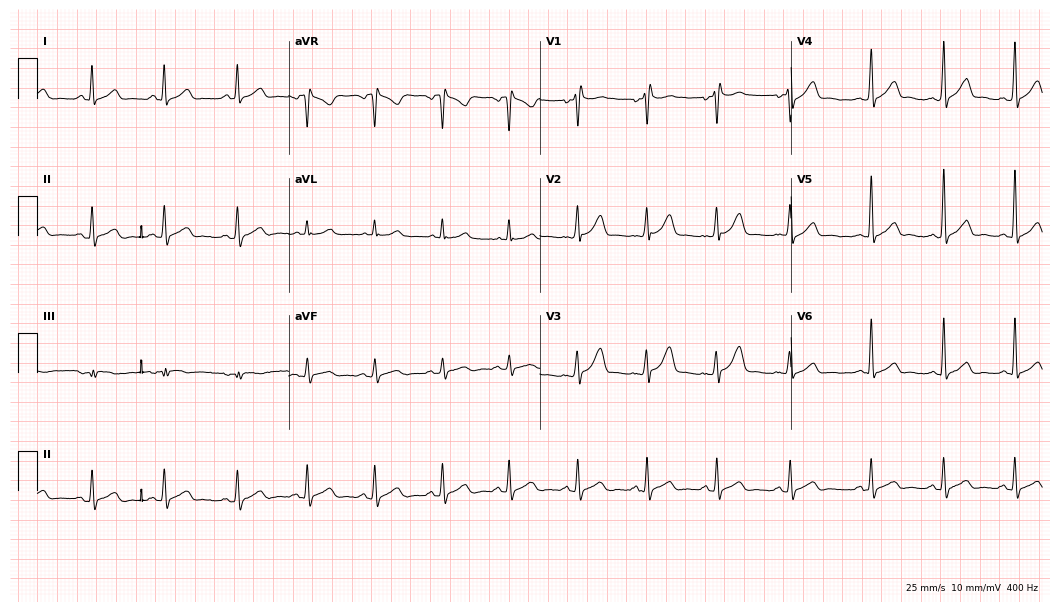
Resting 12-lead electrocardiogram. Patient: a man, 31 years old. None of these six findings is recorded: first-degree AV block, right bundle branch block, left bundle branch block, sinus bradycardia, atrial fibrillation, sinus tachycardia.